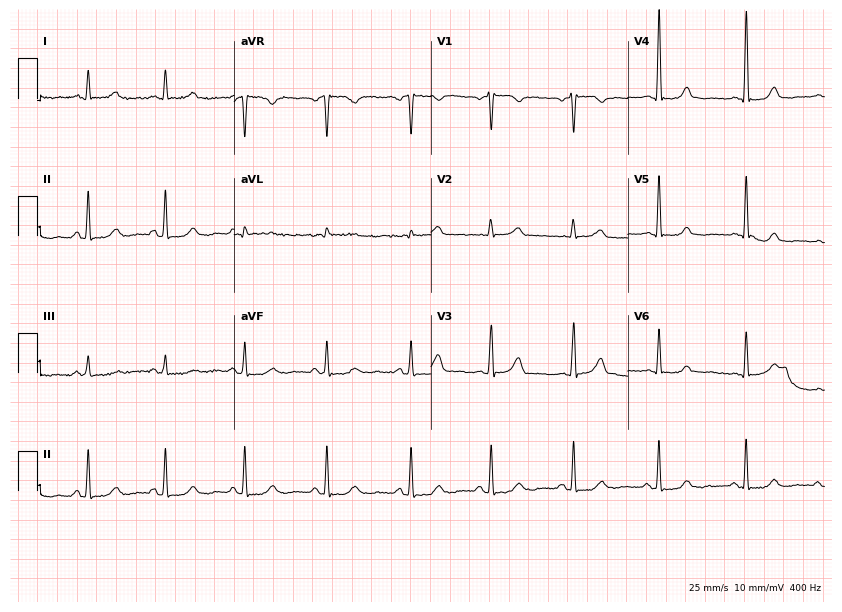
Electrocardiogram, a 74-year-old woman. Of the six screened findings (first-degree AV block, right bundle branch block, left bundle branch block, sinus bradycardia, atrial fibrillation, sinus tachycardia), none is recorded.